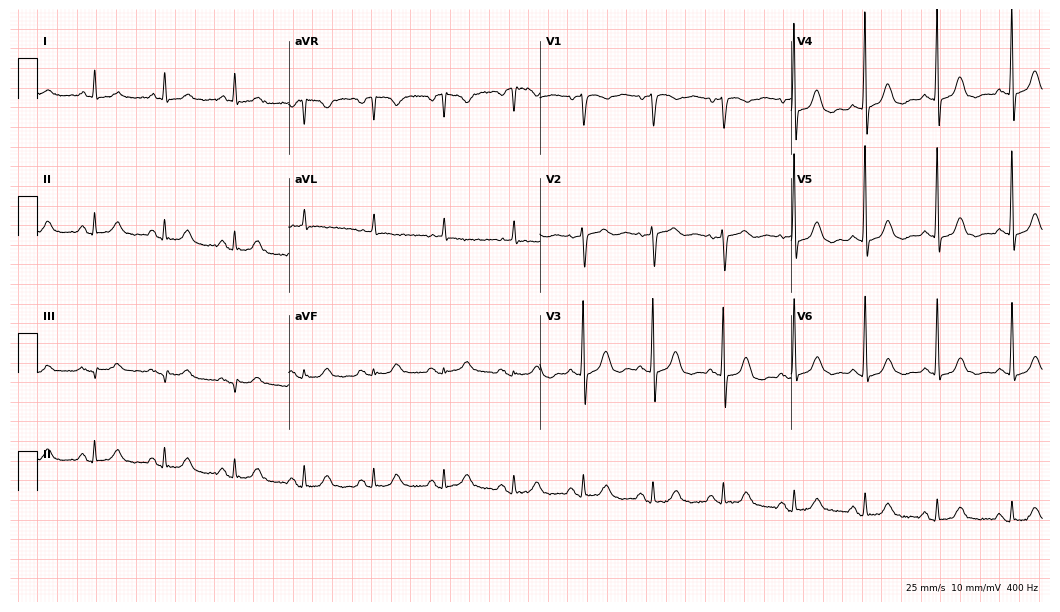
12-lead ECG from a 72-year-old female patient. Recorded interpretation: within normal limits.